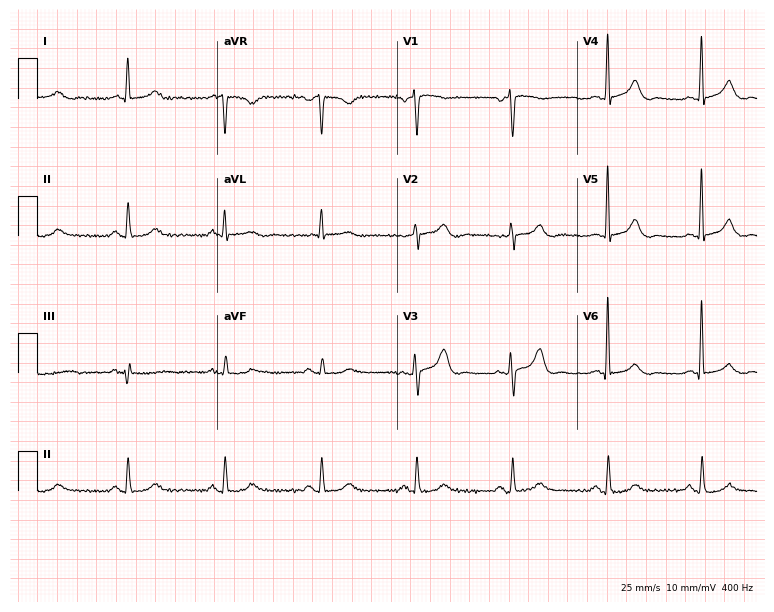
Electrocardiogram, a female patient, 67 years old. Overall reading on record: normal ECG.